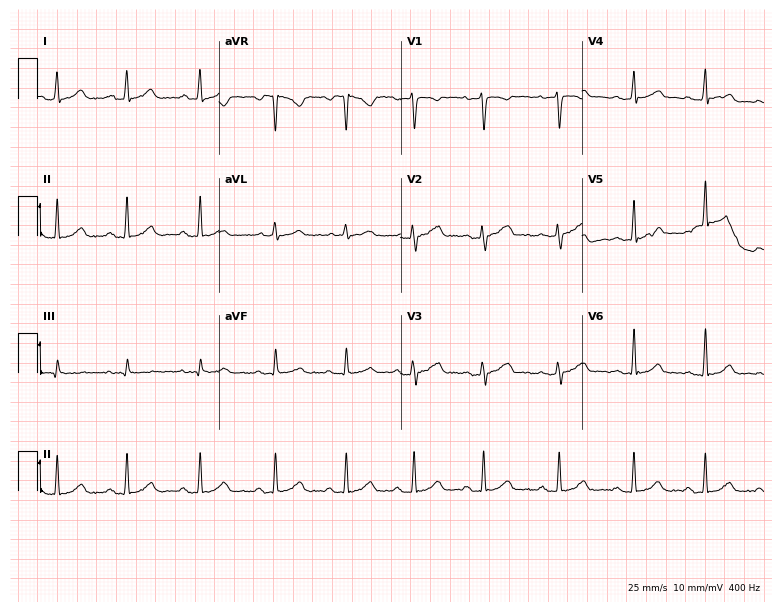
Resting 12-lead electrocardiogram. Patient: an 18-year-old woman. Read as a normal ECG.